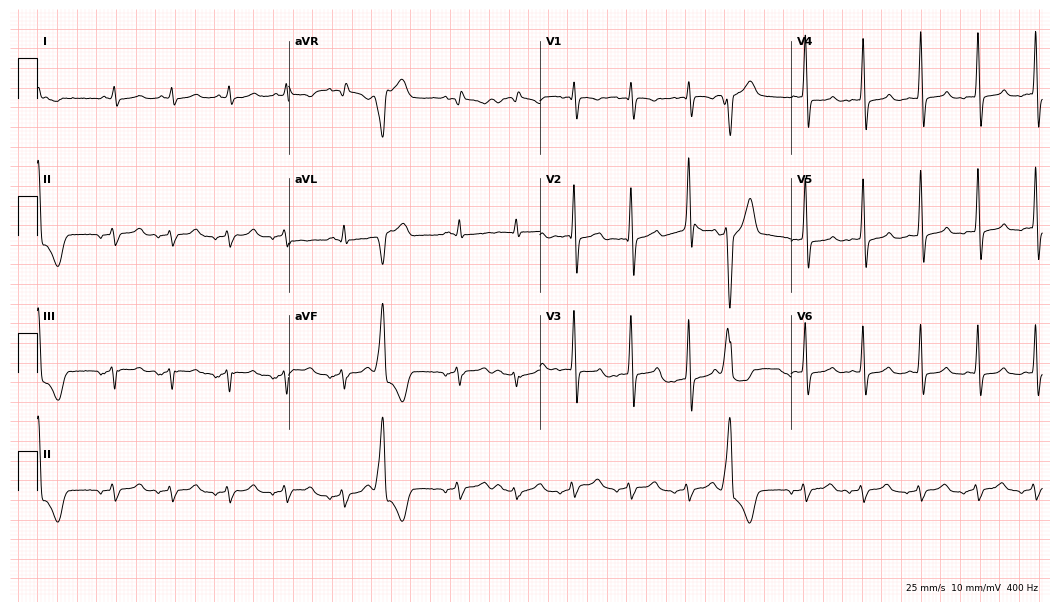
ECG (10.2-second recording at 400 Hz) — a man, 70 years old. Screened for six findings — first-degree AV block, right bundle branch block, left bundle branch block, sinus bradycardia, atrial fibrillation, sinus tachycardia — none is recorded.